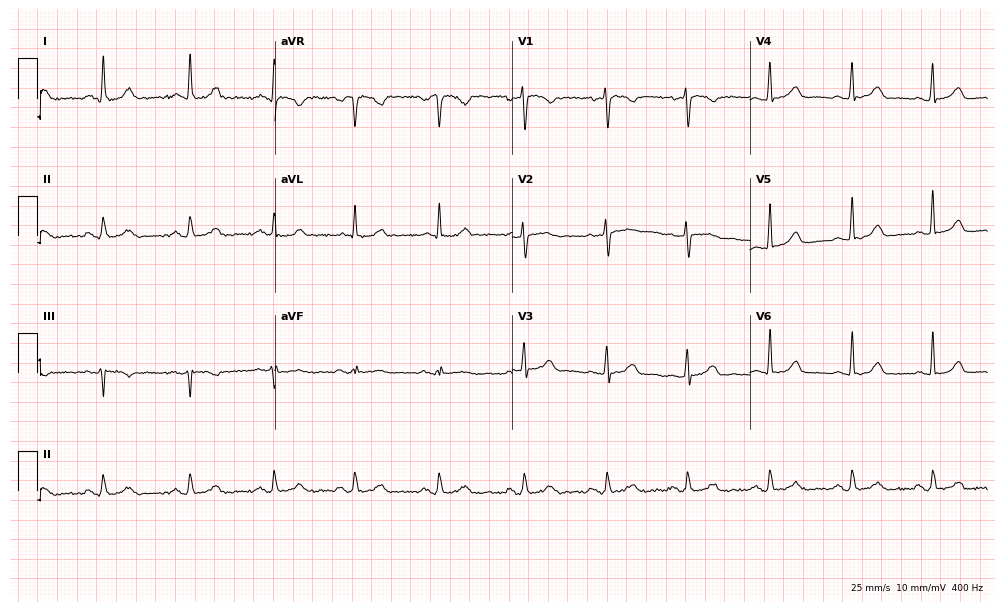
Resting 12-lead electrocardiogram. Patient: a male, 54 years old. Read as a normal ECG.